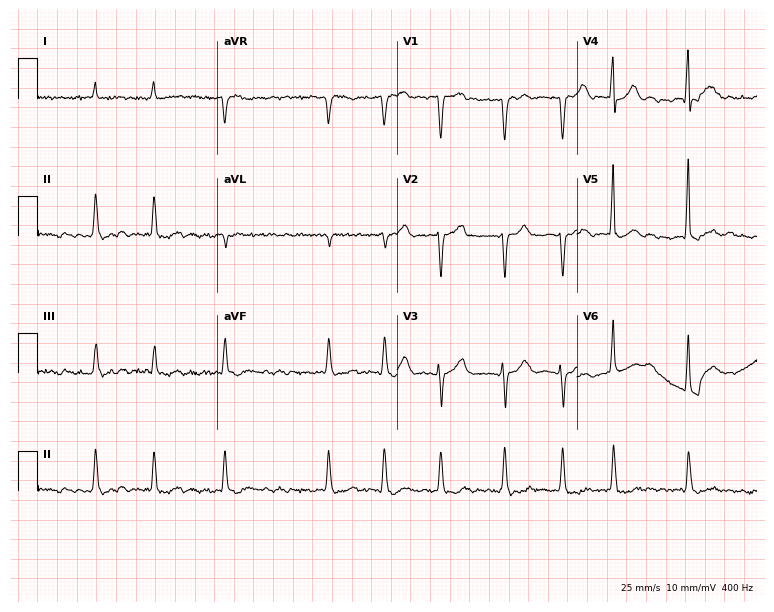
Resting 12-lead electrocardiogram (7.3-second recording at 400 Hz). Patient: a male, 80 years old. The tracing shows atrial fibrillation.